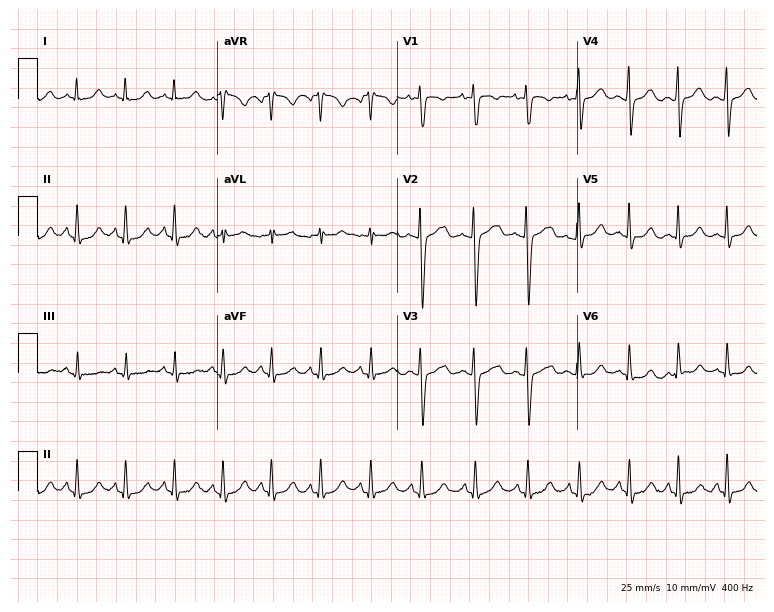
Resting 12-lead electrocardiogram (7.3-second recording at 400 Hz). Patient: a 22-year-old female. None of these six findings is recorded: first-degree AV block, right bundle branch block (RBBB), left bundle branch block (LBBB), sinus bradycardia, atrial fibrillation (AF), sinus tachycardia.